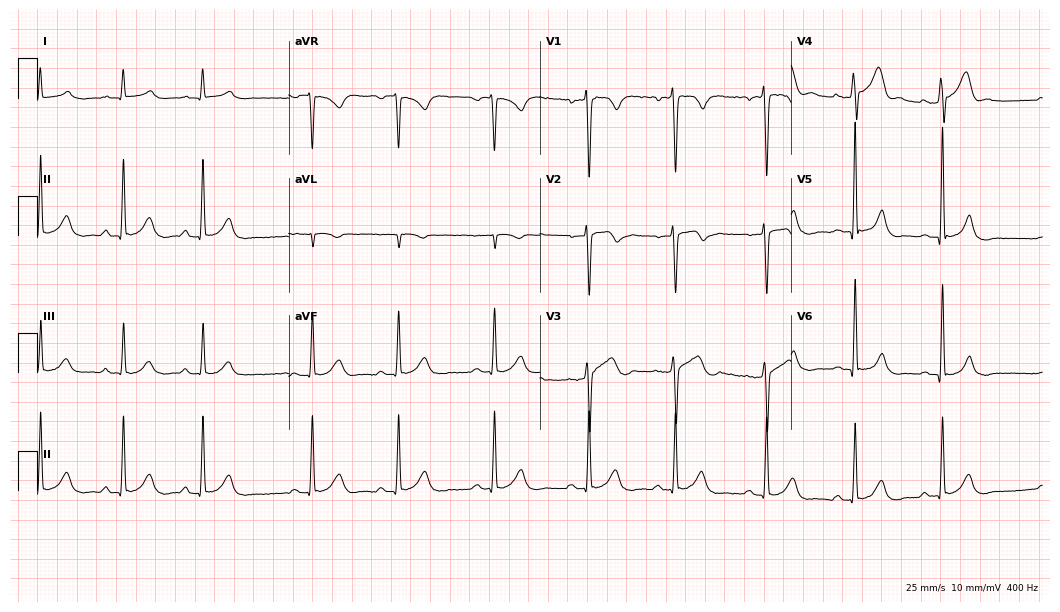
Electrocardiogram, a 29-year-old male. Of the six screened findings (first-degree AV block, right bundle branch block, left bundle branch block, sinus bradycardia, atrial fibrillation, sinus tachycardia), none is recorded.